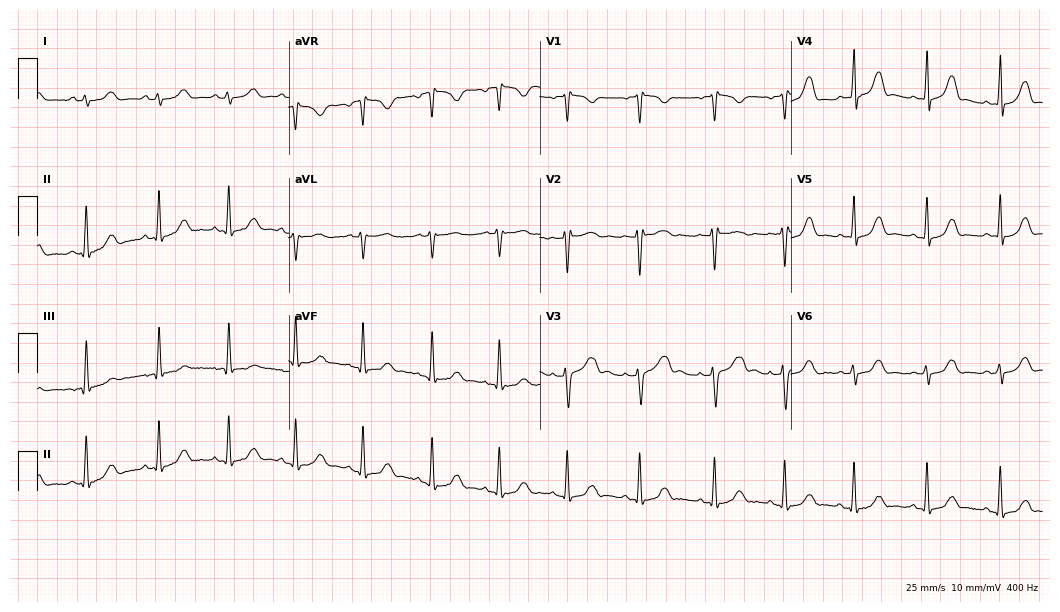
12-lead ECG (10.2-second recording at 400 Hz) from a female, 22 years old. Screened for six findings — first-degree AV block, right bundle branch block, left bundle branch block, sinus bradycardia, atrial fibrillation, sinus tachycardia — none is recorded. Other findings, if any, are not listed.